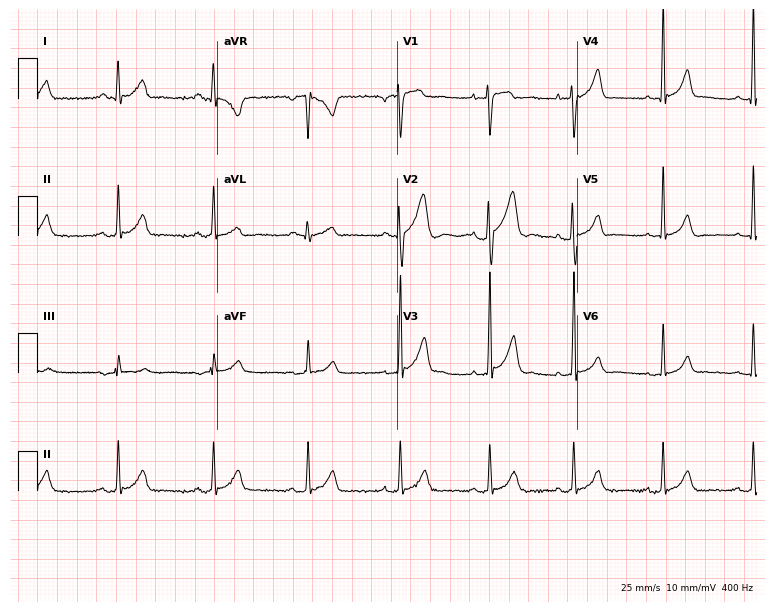
Electrocardiogram (7.3-second recording at 400 Hz), a male patient, 28 years old. Of the six screened findings (first-degree AV block, right bundle branch block, left bundle branch block, sinus bradycardia, atrial fibrillation, sinus tachycardia), none is recorded. Only these six findings were labelled.